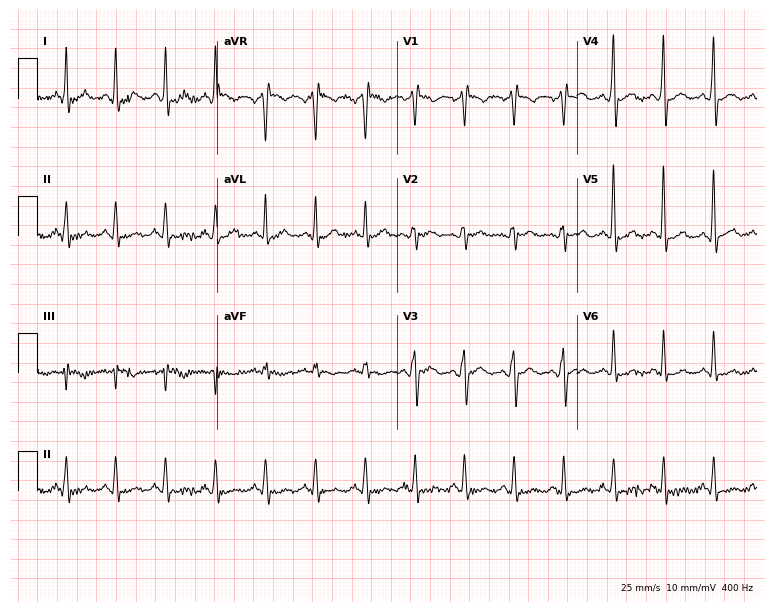
12-lead ECG (7.3-second recording at 400 Hz) from a male, 48 years old. Findings include sinus tachycardia (a sinus rate of 100 beats per minute or more).